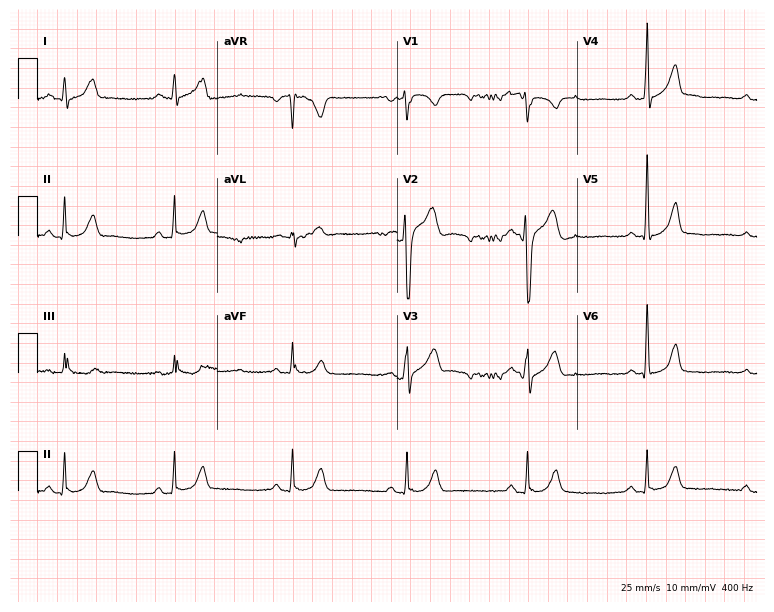
Standard 12-lead ECG recorded from a 28-year-old man (7.3-second recording at 400 Hz). The tracing shows sinus bradycardia (a sinus rate of 50 beats per minute or less).